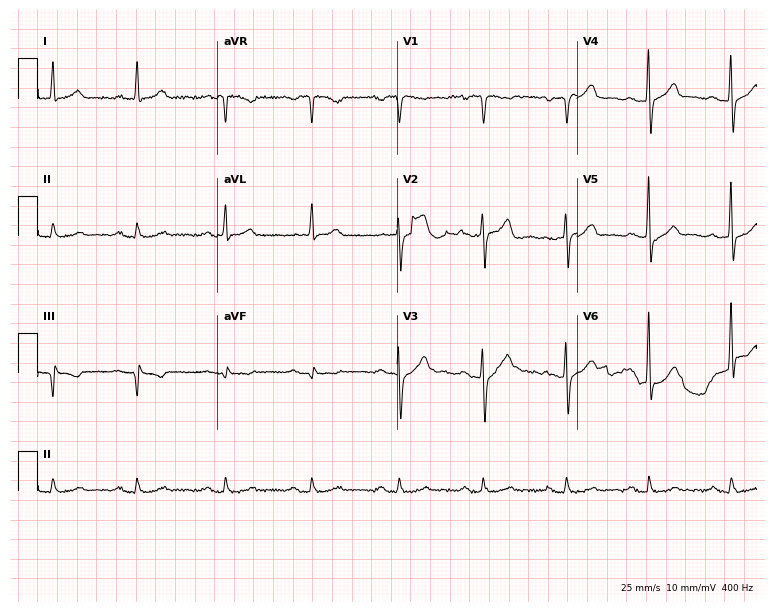
12-lead ECG from a 73-year-old man (7.3-second recording at 400 Hz). No first-degree AV block, right bundle branch block, left bundle branch block, sinus bradycardia, atrial fibrillation or sinus tachycardia recorded for this tracing.